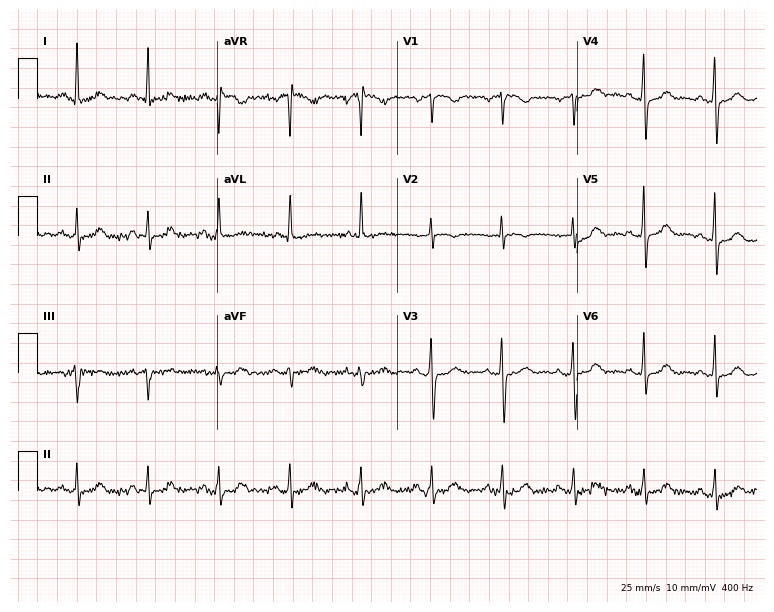
12-lead ECG from a female, 78 years old. Recorded interpretation: within normal limits.